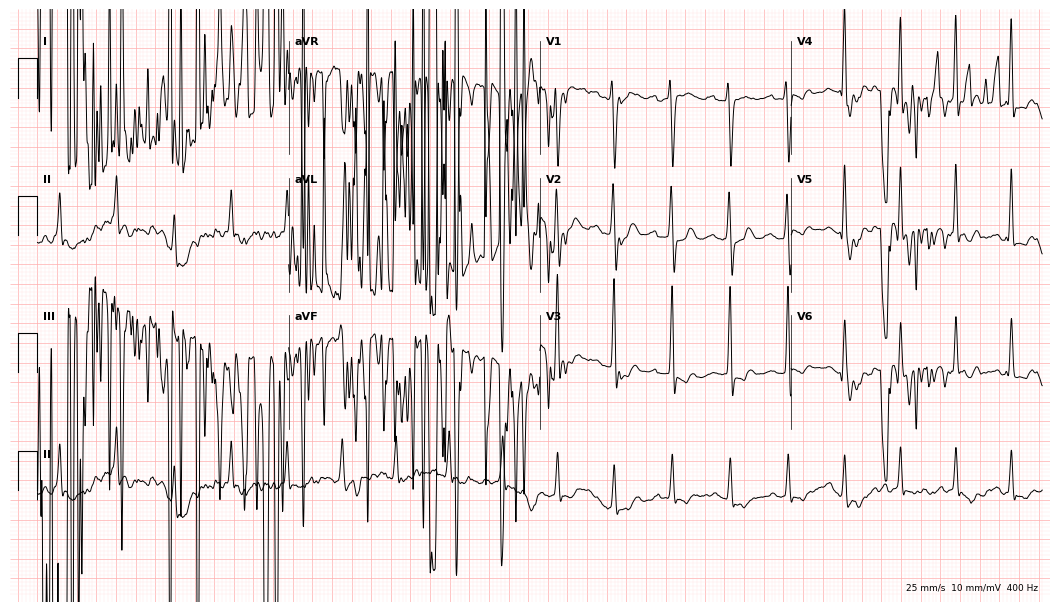
Electrocardiogram (10.2-second recording at 400 Hz), a 36-year-old female patient. Of the six screened findings (first-degree AV block, right bundle branch block, left bundle branch block, sinus bradycardia, atrial fibrillation, sinus tachycardia), none is recorded. Only these six findings were labelled.